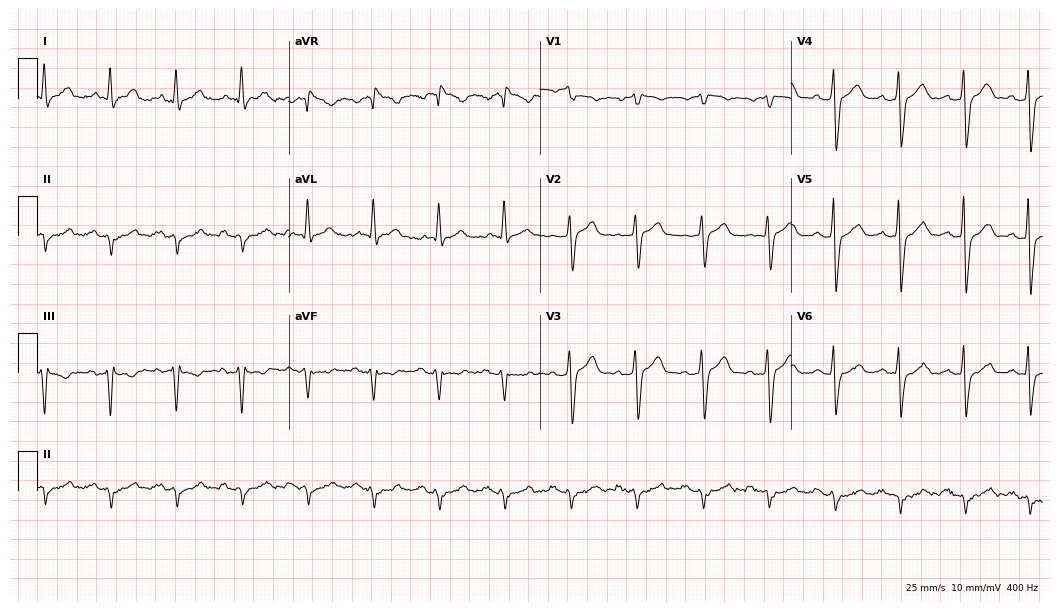
ECG (10.2-second recording at 400 Hz) — a 61-year-old man. Screened for six findings — first-degree AV block, right bundle branch block, left bundle branch block, sinus bradycardia, atrial fibrillation, sinus tachycardia — none is recorded.